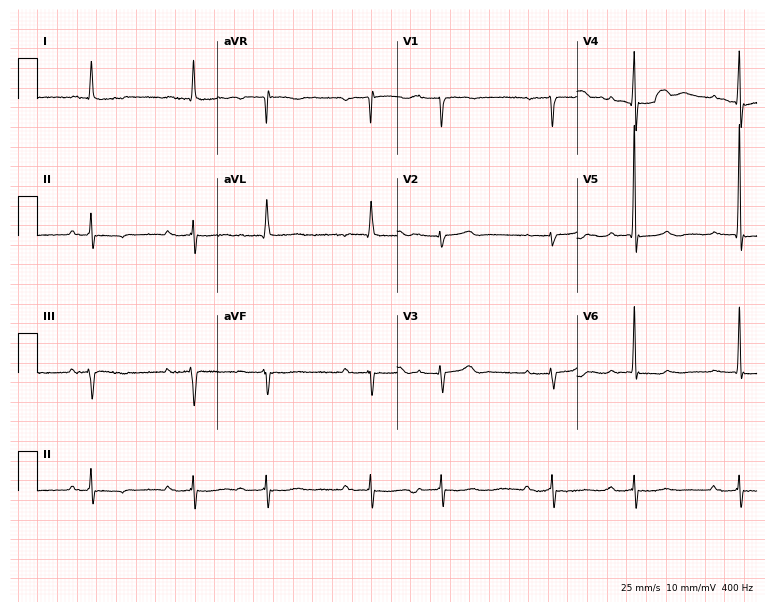
12-lead ECG from a man, 89 years old. No first-degree AV block, right bundle branch block, left bundle branch block, sinus bradycardia, atrial fibrillation or sinus tachycardia recorded for this tracing. Other findings, if any, are not listed.